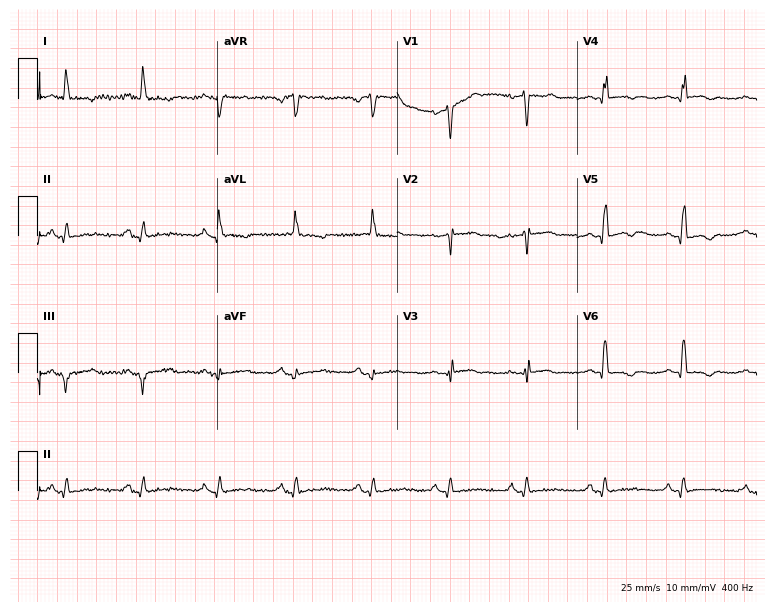
12-lead ECG from a female, 67 years old. Screened for six findings — first-degree AV block, right bundle branch block (RBBB), left bundle branch block (LBBB), sinus bradycardia, atrial fibrillation (AF), sinus tachycardia — none is recorded.